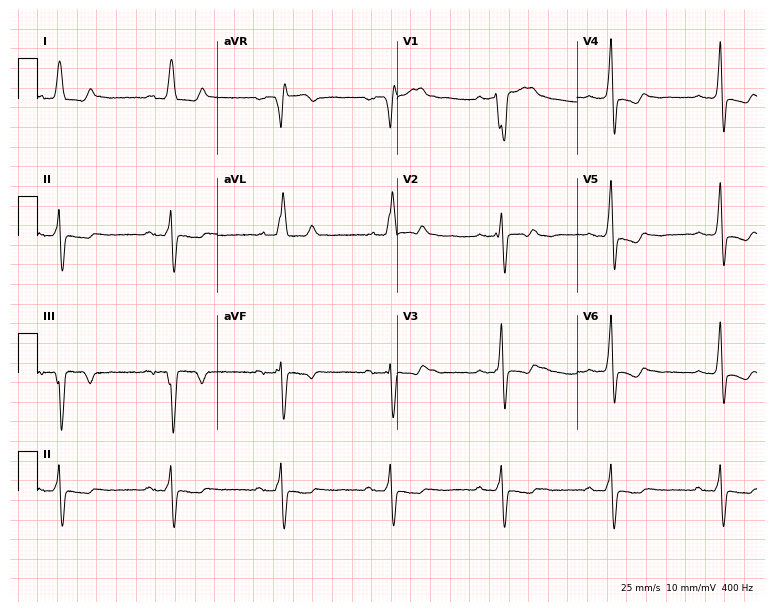
Standard 12-lead ECG recorded from a female patient, 85 years old (7.3-second recording at 400 Hz). The tracing shows left bundle branch block.